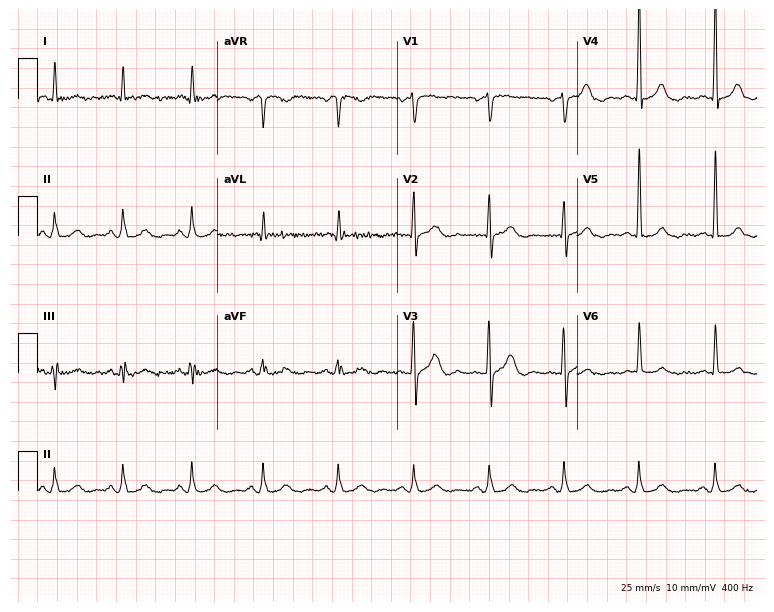
Resting 12-lead electrocardiogram. Patient: a 71-year-old male. None of these six findings is recorded: first-degree AV block, right bundle branch block, left bundle branch block, sinus bradycardia, atrial fibrillation, sinus tachycardia.